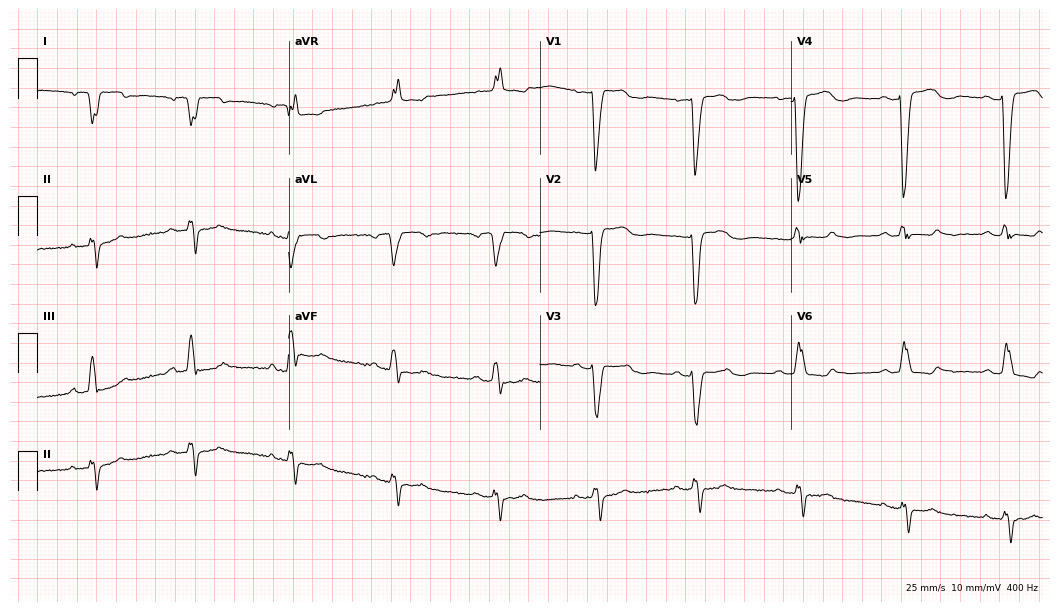
12-lead ECG from a female patient, 80 years old (10.2-second recording at 400 Hz). No first-degree AV block, right bundle branch block, left bundle branch block, sinus bradycardia, atrial fibrillation or sinus tachycardia recorded for this tracing.